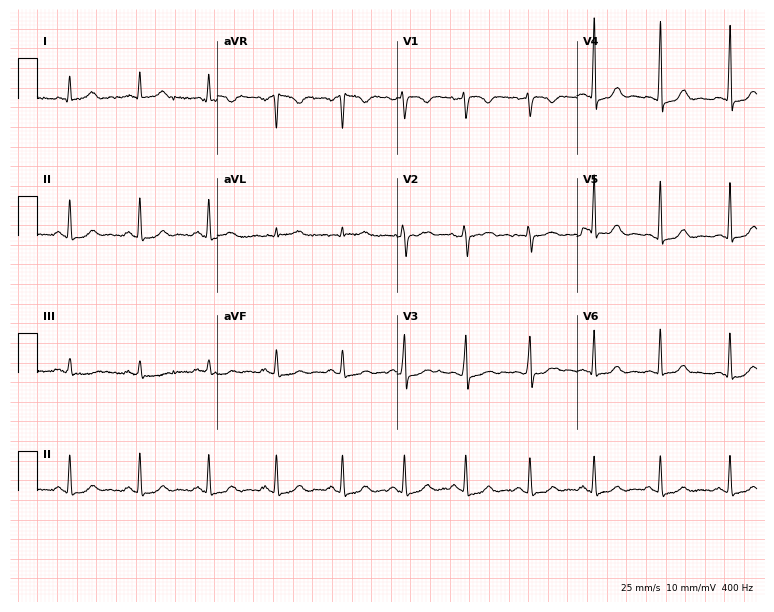
Electrocardiogram (7.3-second recording at 400 Hz), a 37-year-old woman. Of the six screened findings (first-degree AV block, right bundle branch block (RBBB), left bundle branch block (LBBB), sinus bradycardia, atrial fibrillation (AF), sinus tachycardia), none is recorded. Other findings, if any, are not listed.